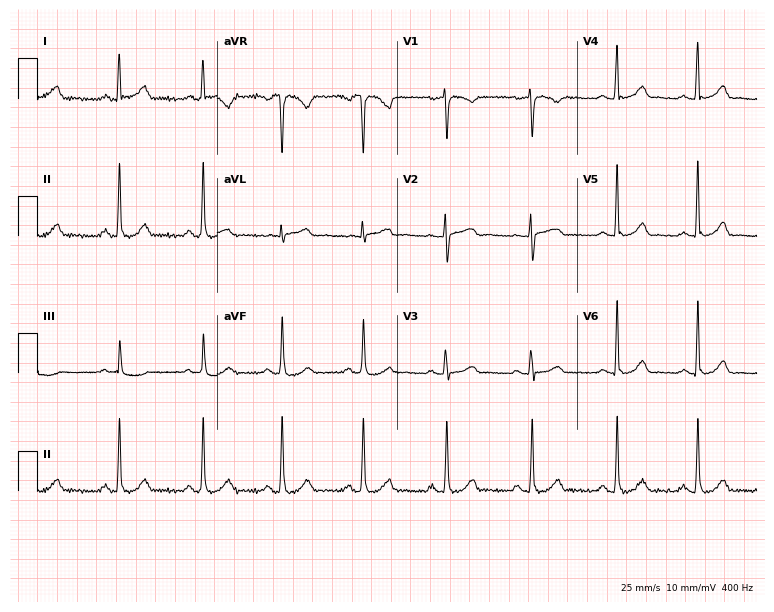
ECG — a female patient, 40 years old. Labelled as a normal ECG.